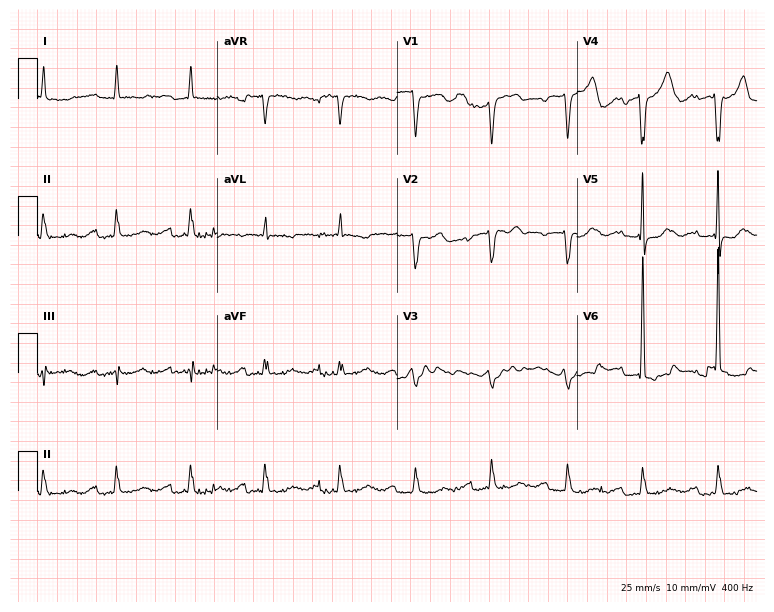
12-lead ECG from a male patient, 79 years old (7.3-second recording at 400 Hz). No first-degree AV block, right bundle branch block (RBBB), left bundle branch block (LBBB), sinus bradycardia, atrial fibrillation (AF) or sinus tachycardia recorded for this tracing. Only these six findings were labelled.